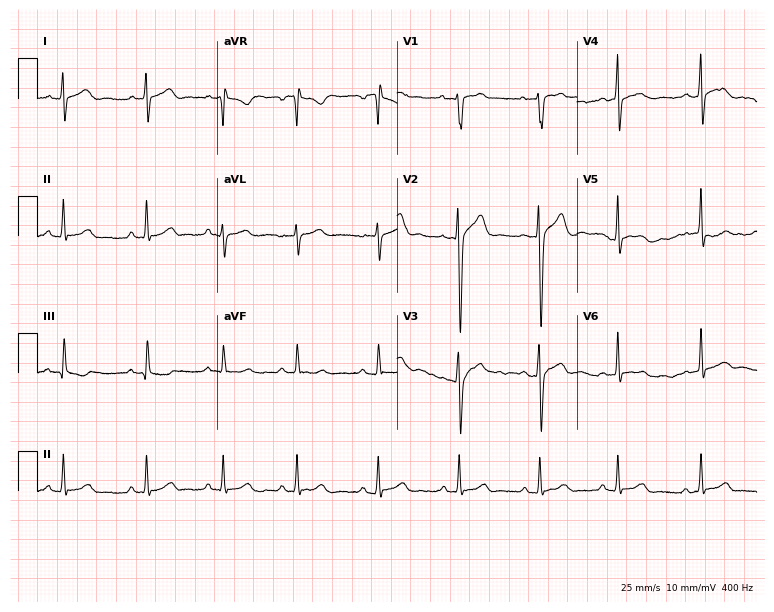
Electrocardiogram, a 21-year-old male. Overall reading on record: normal ECG.